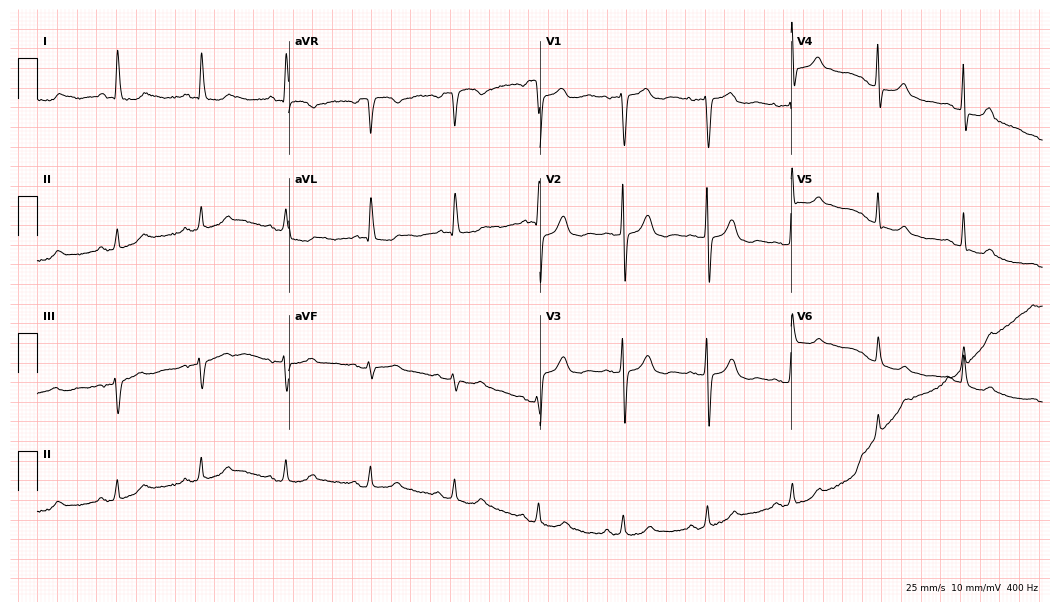
12-lead ECG from a woman, 78 years old. Labelled as a normal ECG.